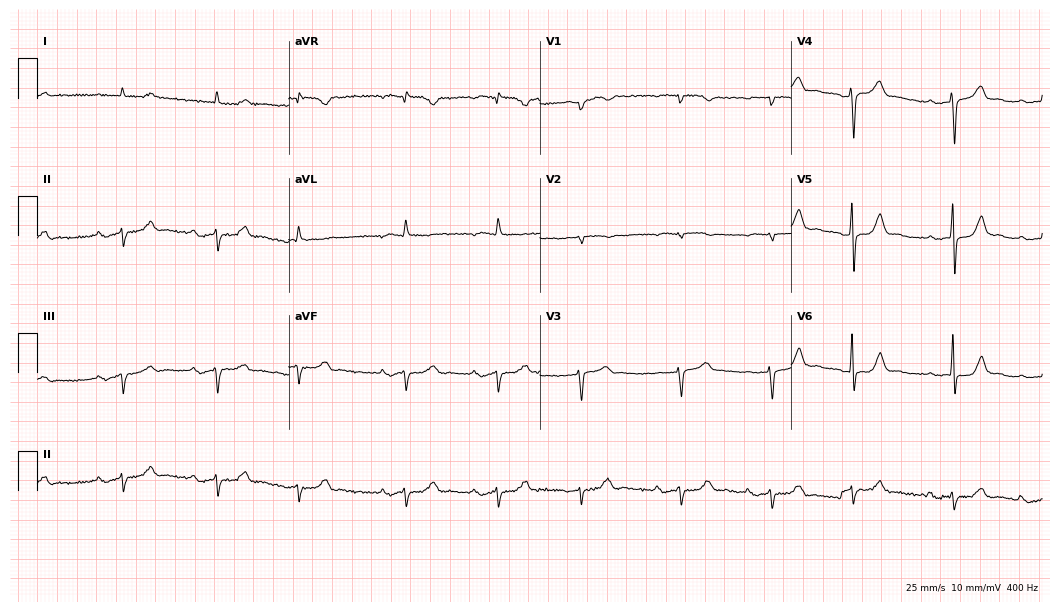
Electrocardiogram (10.2-second recording at 400 Hz), a male, 78 years old. Overall reading on record: normal ECG.